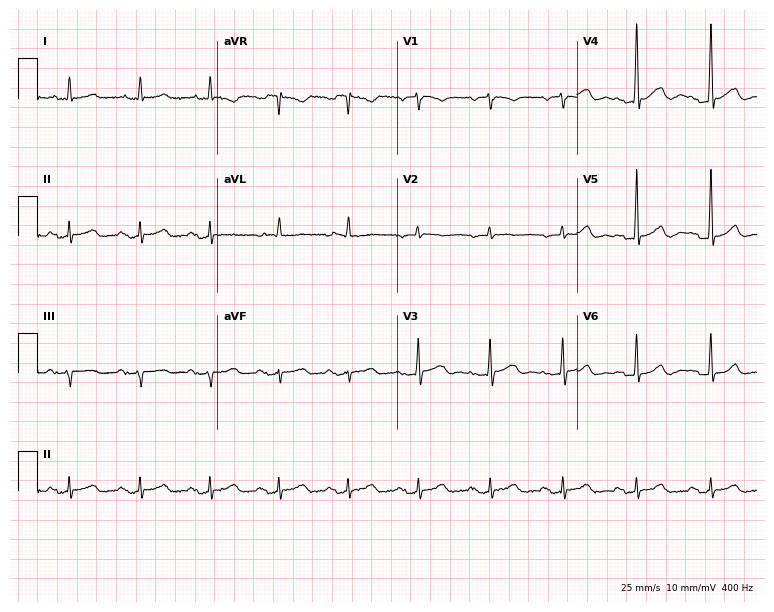
ECG (7.3-second recording at 400 Hz) — a man, 72 years old. Screened for six findings — first-degree AV block, right bundle branch block, left bundle branch block, sinus bradycardia, atrial fibrillation, sinus tachycardia — none is recorded.